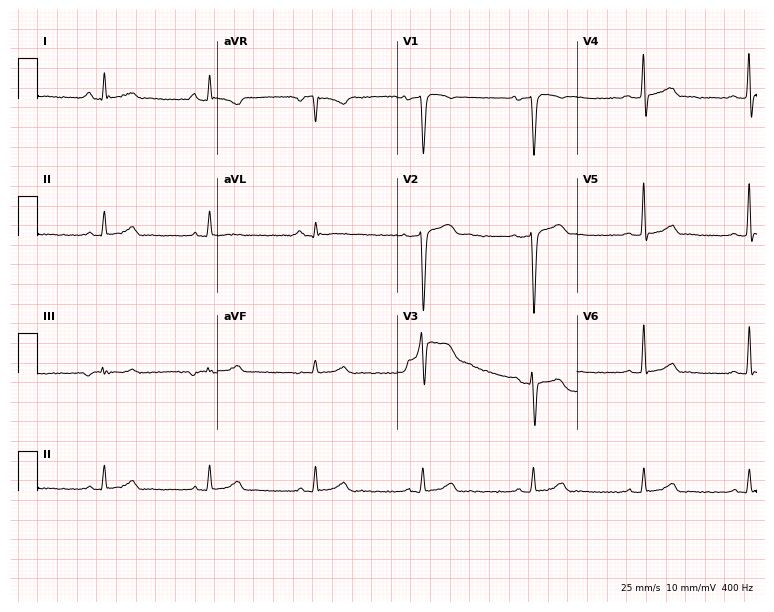
ECG (7.3-second recording at 400 Hz) — a male patient, 24 years old. Screened for six findings — first-degree AV block, right bundle branch block, left bundle branch block, sinus bradycardia, atrial fibrillation, sinus tachycardia — none is recorded. Other findings, if any, are not listed.